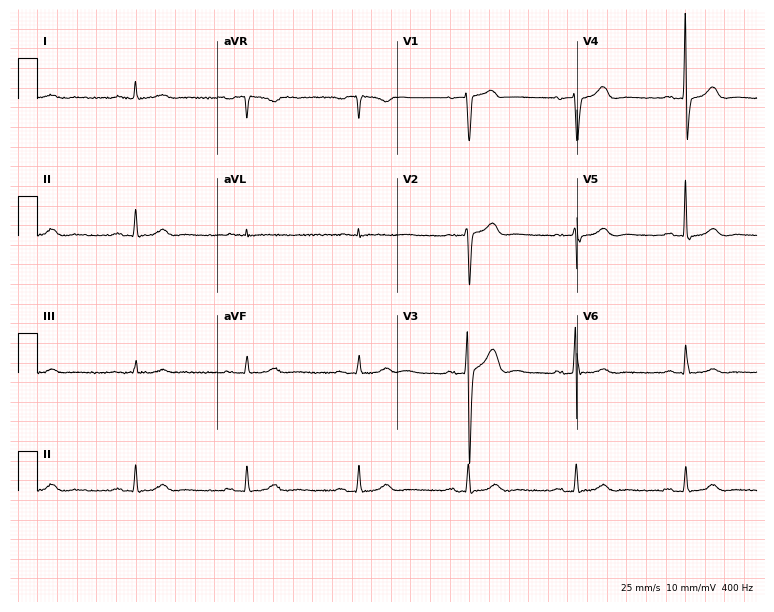
ECG — a 67-year-old male patient. Screened for six findings — first-degree AV block, right bundle branch block, left bundle branch block, sinus bradycardia, atrial fibrillation, sinus tachycardia — none is recorded.